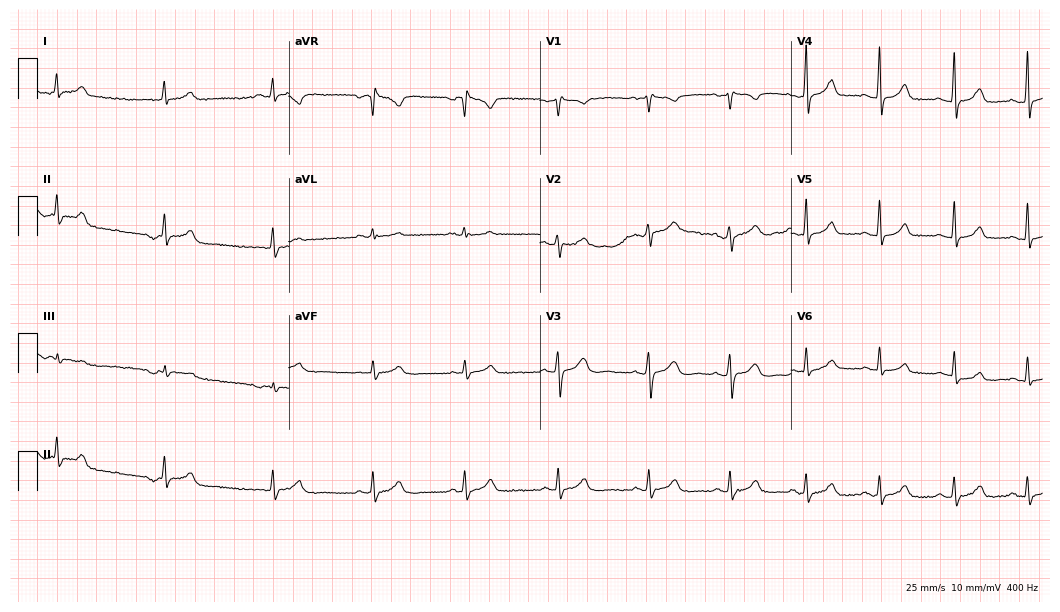
12-lead ECG from an 18-year-old female patient (10.2-second recording at 400 Hz). Recorded interpretation: within normal limits.